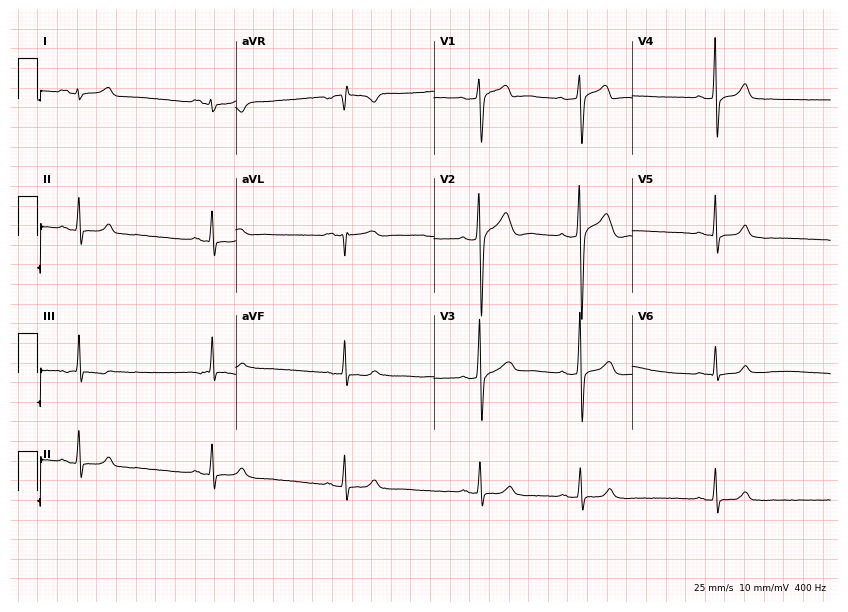
12-lead ECG from a man, 18 years old. Findings include sinus bradycardia (a sinus rate of 50 beats per minute or less).